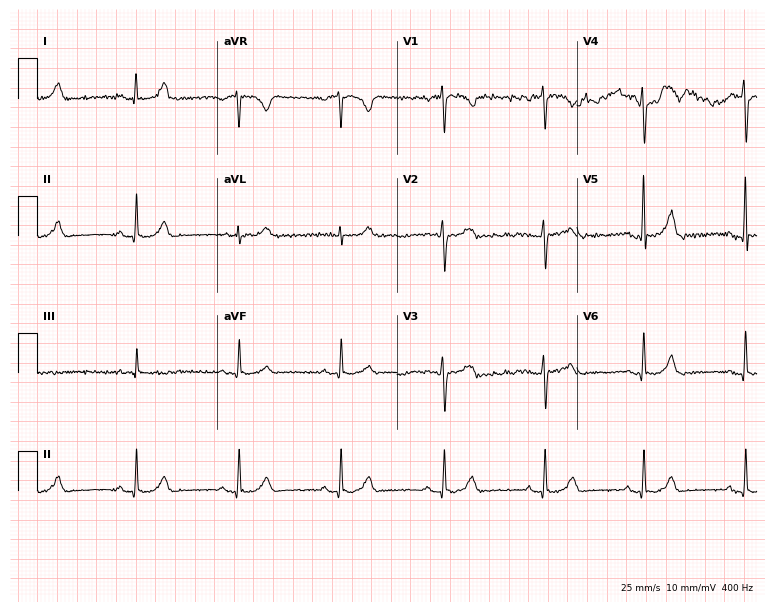
12-lead ECG from a 50-year-old woman. Labelled as a normal ECG.